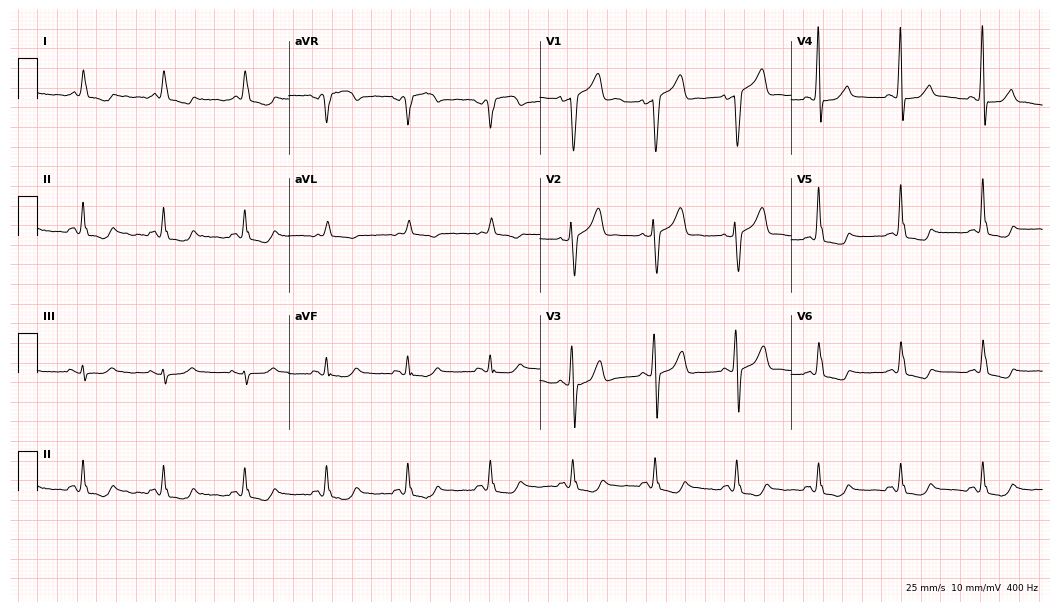
Standard 12-lead ECG recorded from a 61-year-old male. None of these six findings is recorded: first-degree AV block, right bundle branch block, left bundle branch block, sinus bradycardia, atrial fibrillation, sinus tachycardia. Only these six findings were labelled.